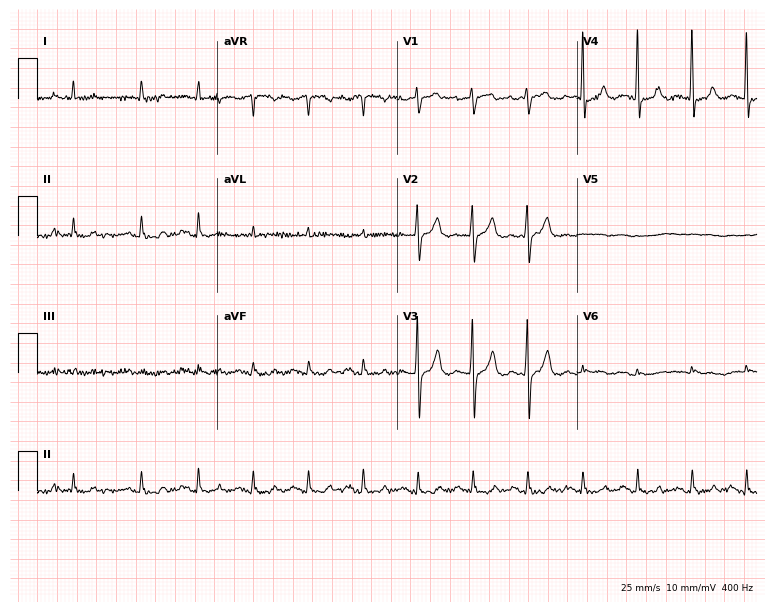
12-lead ECG from a female patient, 65 years old. Screened for six findings — first-degree AV block, right bundle branch block, left bundle branch block, sinus bradycardia, atrial fibrillation, sinus tachycardia — none is recorded.